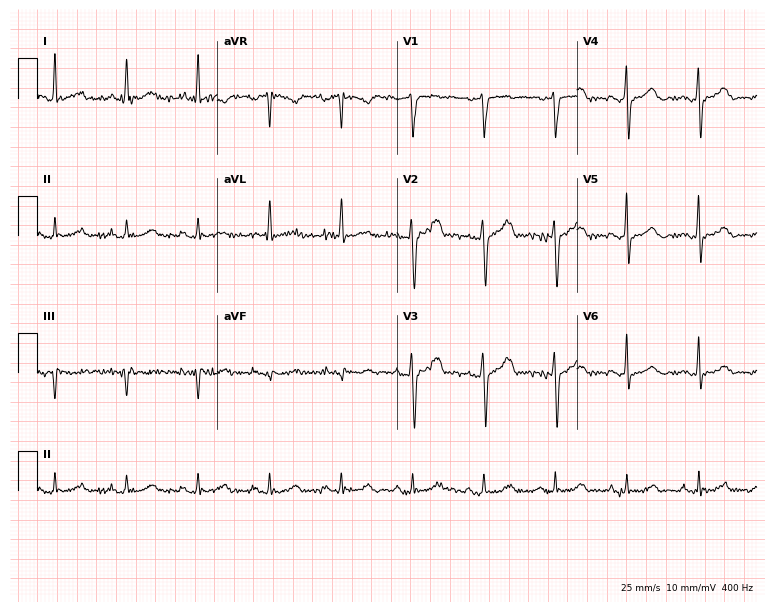
12-lead ECG from a 63-year-old female patient. Screened for six findings — first-degree AV block, right bundle branch block, left bundle branch block, sinus bradycardia, atrial fibrillation, sinus tachycardia — none is recorded. Findings outside these six are not listed.